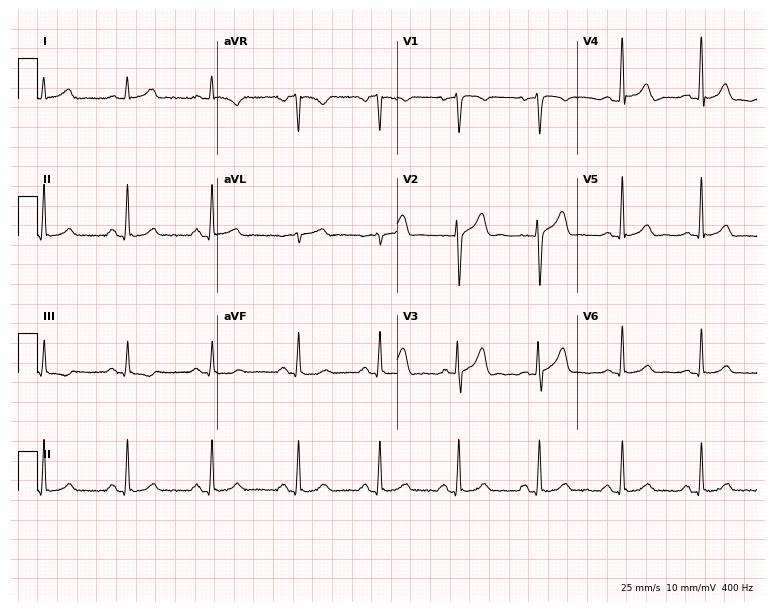
12-lead ECG from a 38-year-old man (7.3-second recording at 400 Hz). Recorded interpretation: within normal limits.